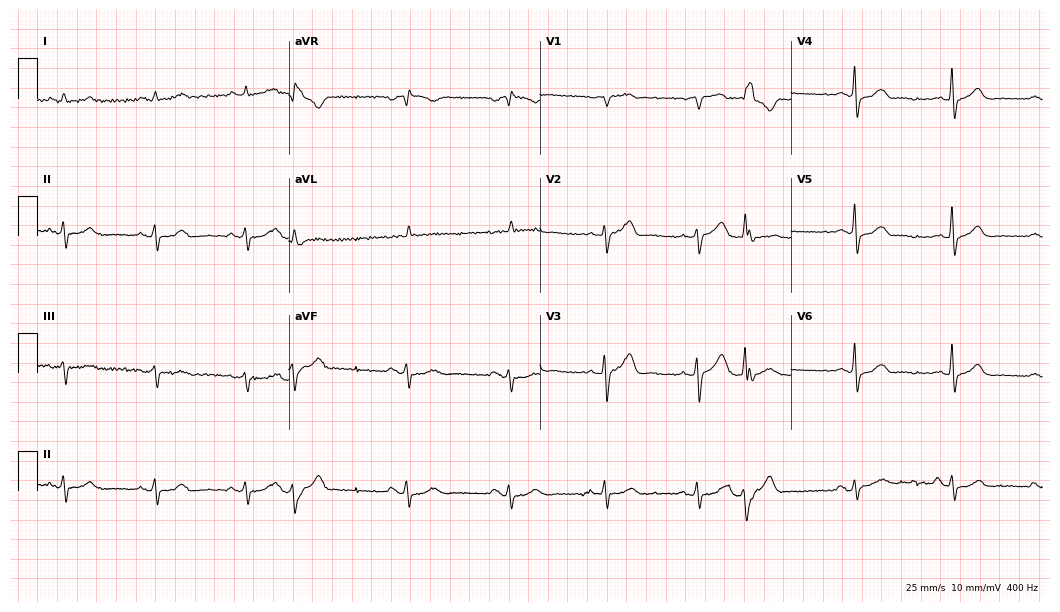
ECG — an 86-year-old male. Screened for six findings — first-degree AV block, right bundle branch block (RBBB), left bundle branch block (LBBB), sinus bradycardia, atrial fibrillation (AF), sinus tachycardia — none is recorded. Only these six findings were labelled.